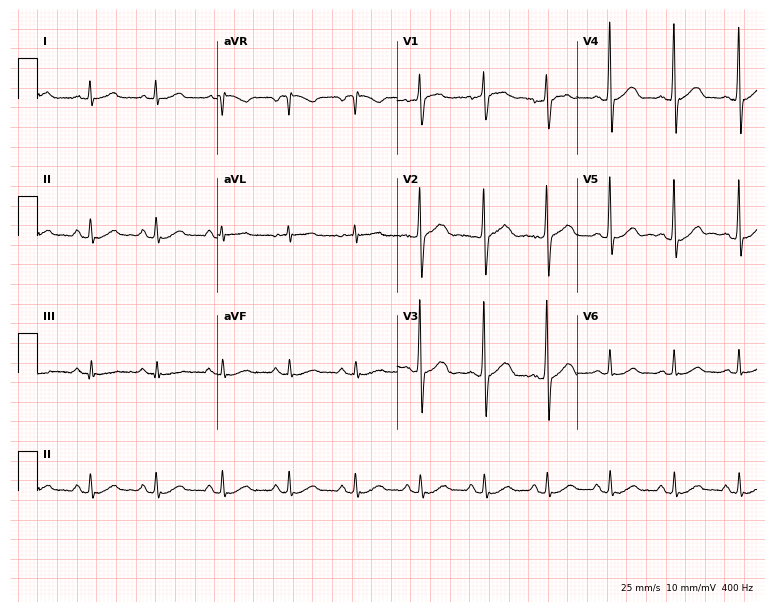
Resting 12-lead electrocardiogram. Patient: a 71-year-old male. Read as a normal ECG.